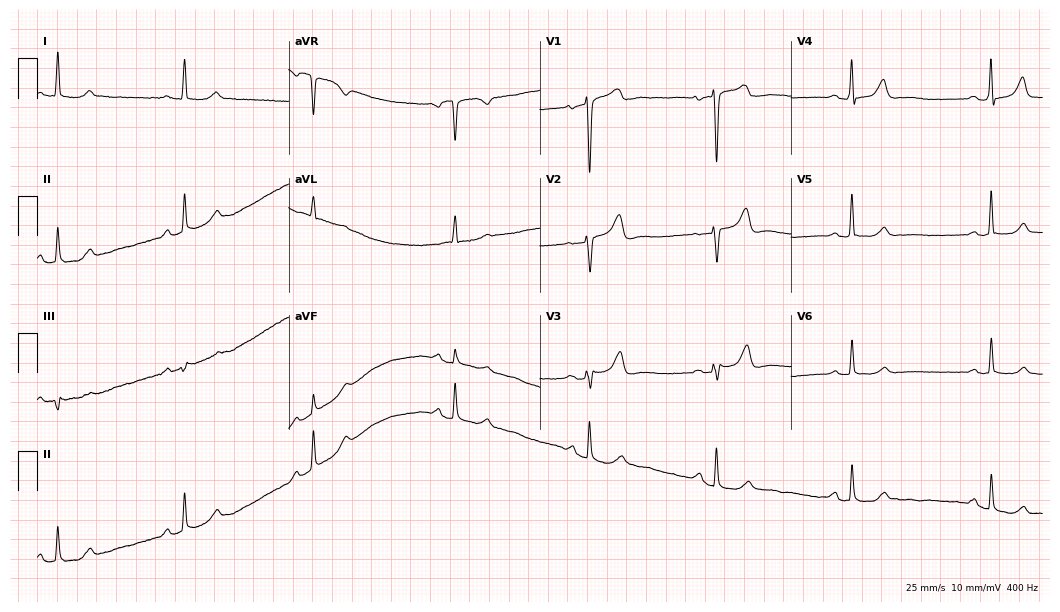
ECG (10.2-second recording at 400 Hz) — a female patient, 66 years old. Screened for six findings — first-degree AV block, right bundle branch block (RBBB), left bundle branch block (LBBB), sinus bradycardia, atrial fibrillation (AF), sinus tachycardia — none is recorded. Only these six findings were labelled.